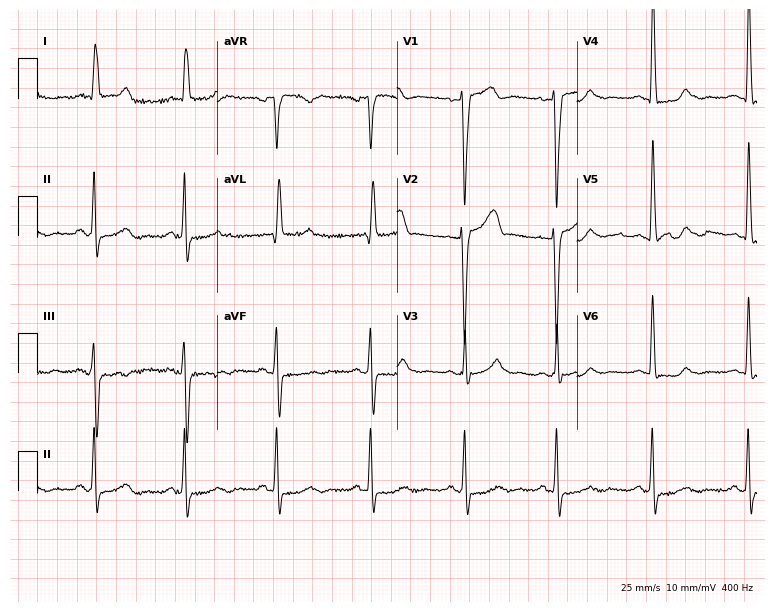
12-lead ECG from an 82-year-old female patient (7.3-second recording at 400 Hz). No first-degree AV block, right bundle branch block, left bundle branch block, sinus bradycardia, atrial fibrillation or sinus tachycardia recorded for this tracing. Findings outside these six are not listed.